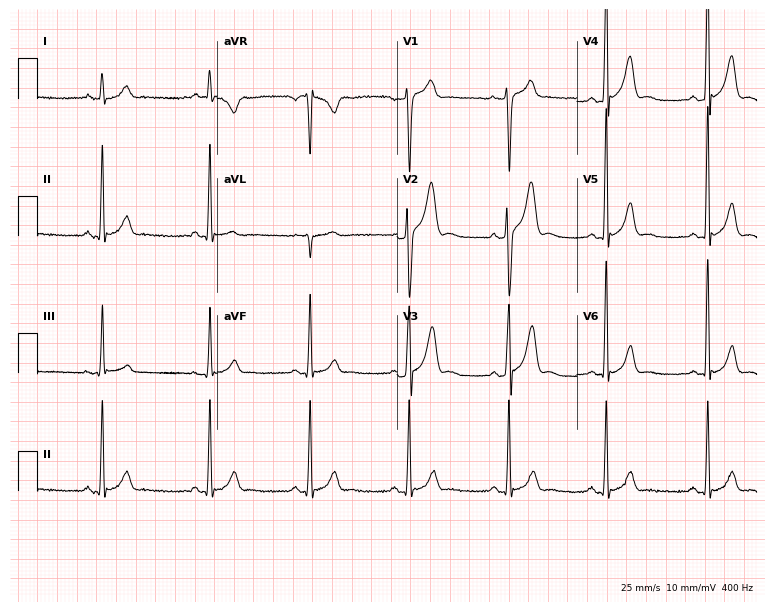
ECG (7.3-second recording at 400 Hz) — a man, 26 years old. Labelled as a normal ECG.